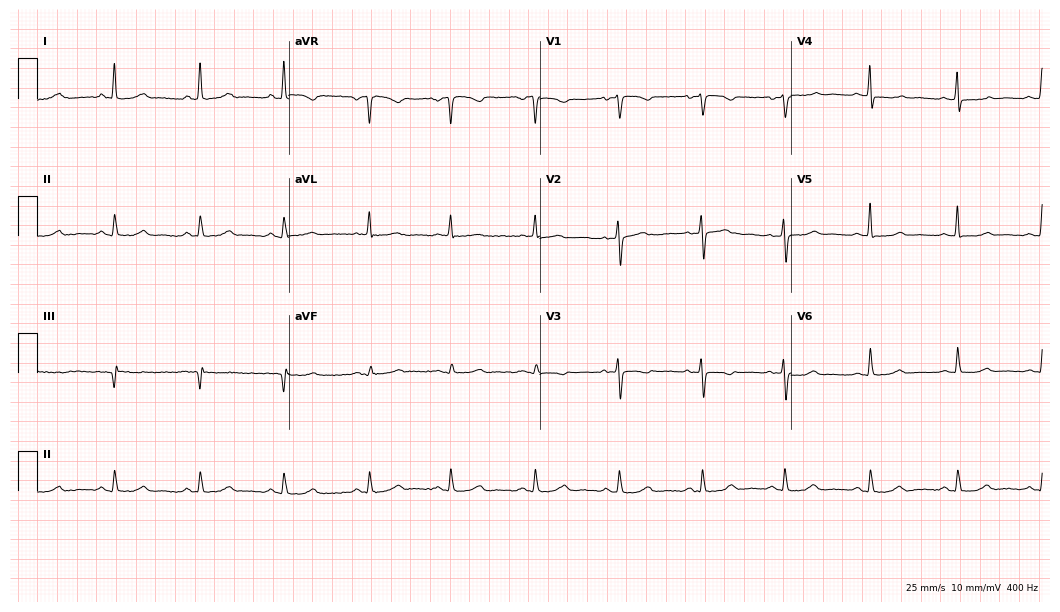
12-lead ECG from a 52-year-old female patient. Labelled as a normal ECG.